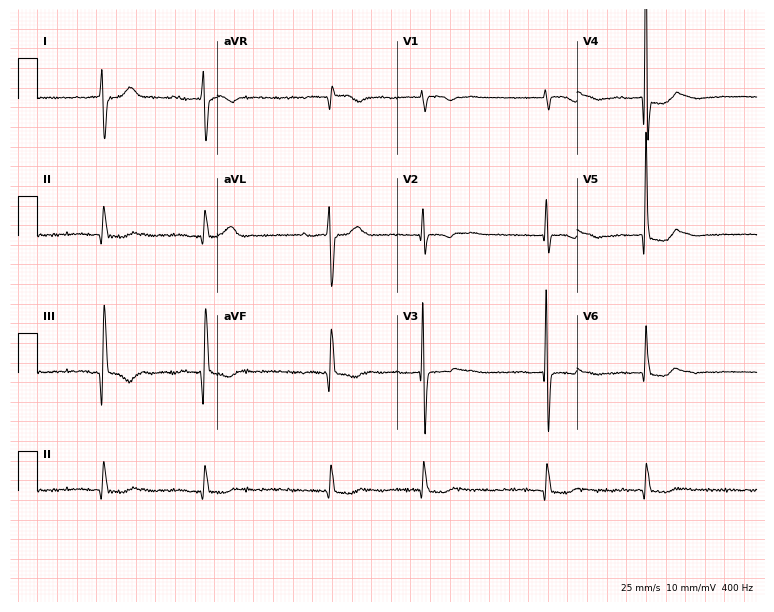
12-lead ECG (7.3-second recording at 400 Hz) from a 76-year-old female. Findings include atrial fibrillation.